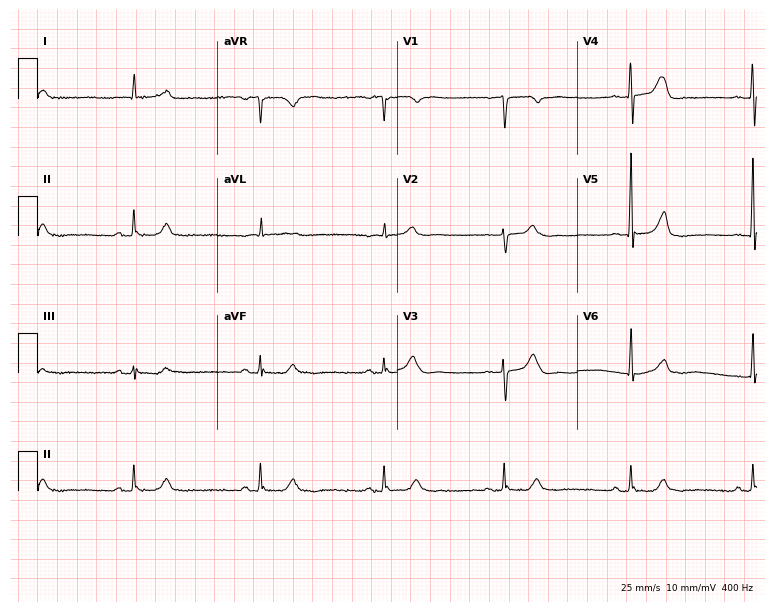
Resting 12-lead electrocardiogram. Patient: a man, 74 years old. None of these six findings is recorded: first-degree AV block, right bundle branch block, left bundle branch block, sinus bradycardia, atrial fibrillation, sinus tachycardia. Findings outside these six are not listed.